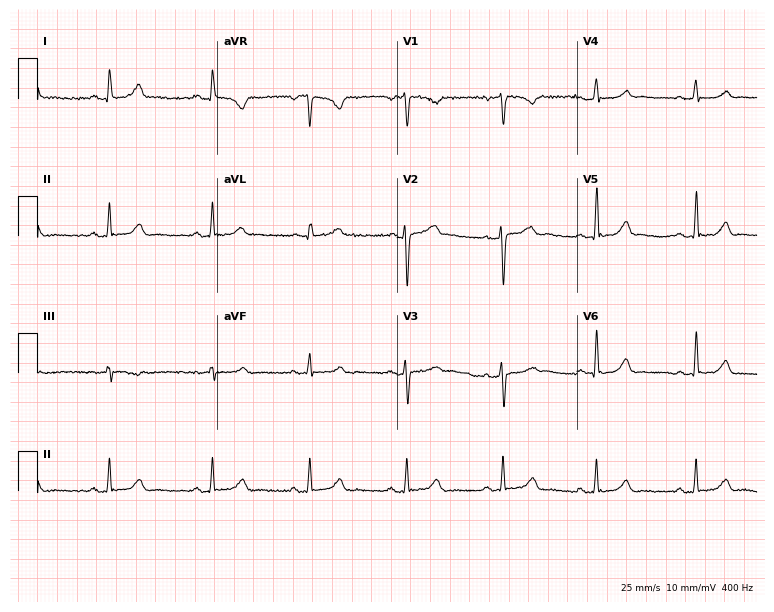
12-lead ECG (7.3-second recording at 400 Hz) from a 37-year-old female. Labelled as a normal ECG.